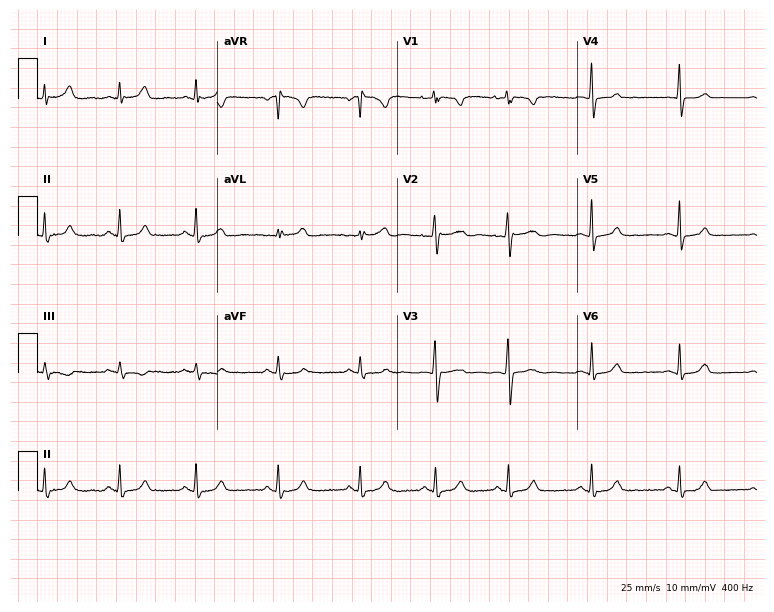
Resting 12-lead electrocardiogram. Patient: a 17-year-old woman. Read as a normal ECG.